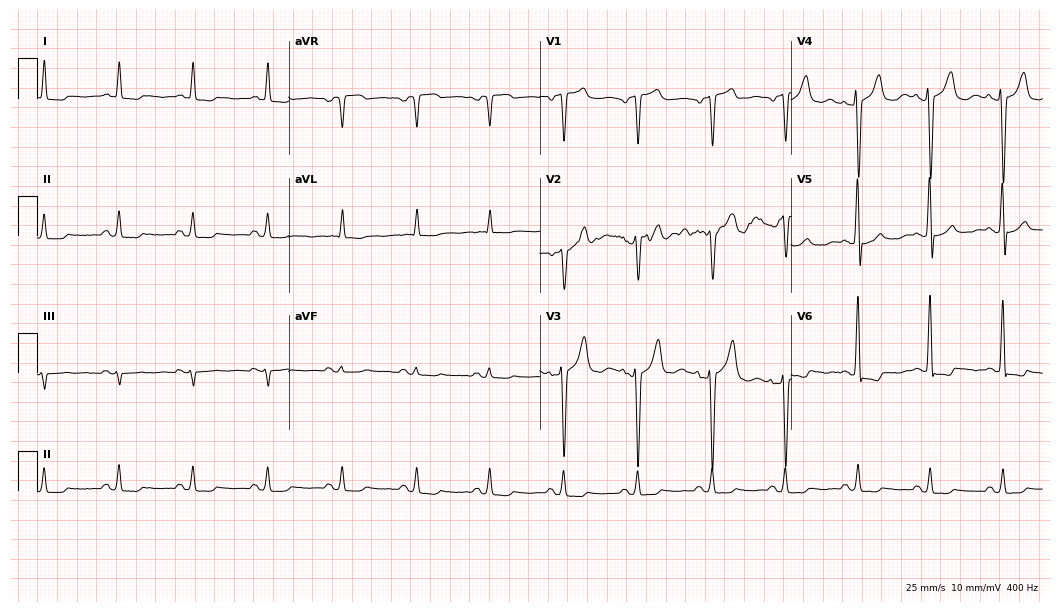
Electrocardiogram, a 73-year-old male. Of the six screened findings (first-degree AV block, right bundle branch block, left bundle branch block, sinus bradycardia, atrial fibrillation, sinus tachycardia), none is recorded. Findings outside these six are not listed.